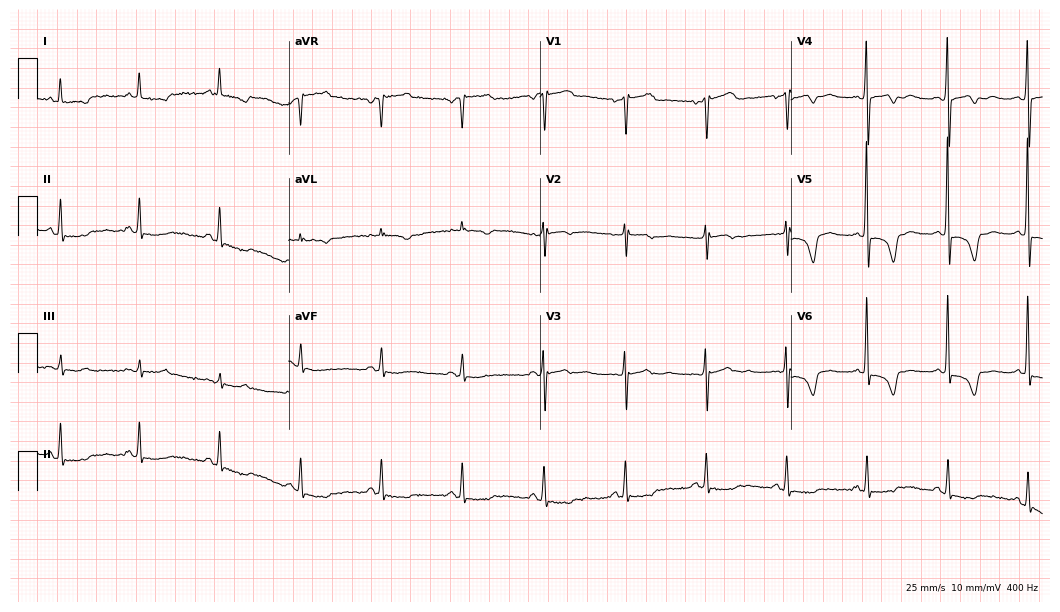
Resting 12-lead electrocardiogram. Patient: a 69-year-old female. None of these six findings is recorded: first-degree AV block, right bundle branch block, left bundle branch block, sinus bradycardia, atrial fibrillation, sinus tachycardia. Only these six findings were labelled.